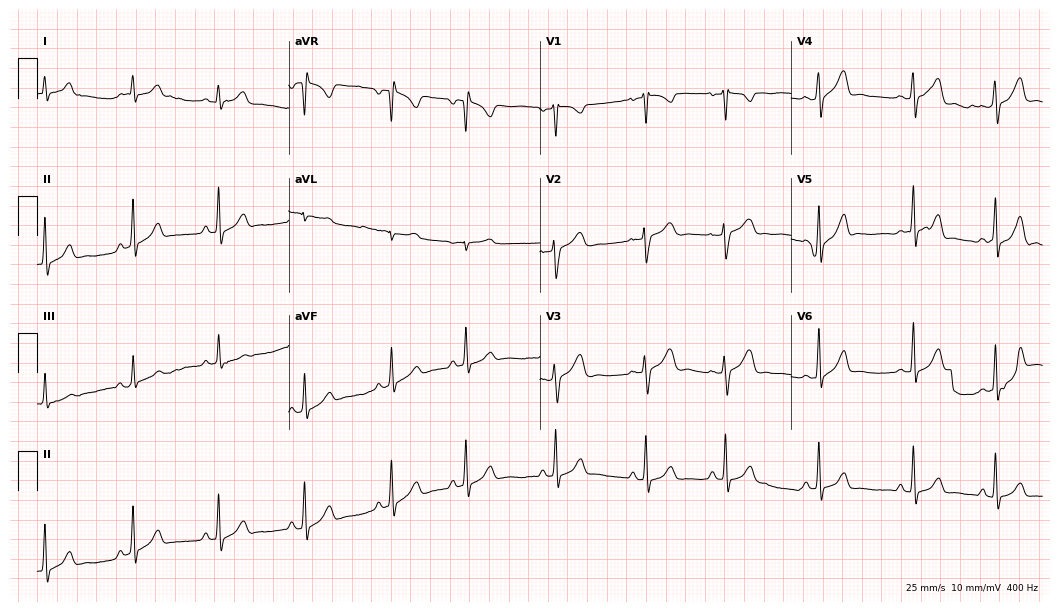
Electrocardiogram (10.2-second recording at 400 Hz), a woman, 20 years old. Overall reading on record: normal ECG.